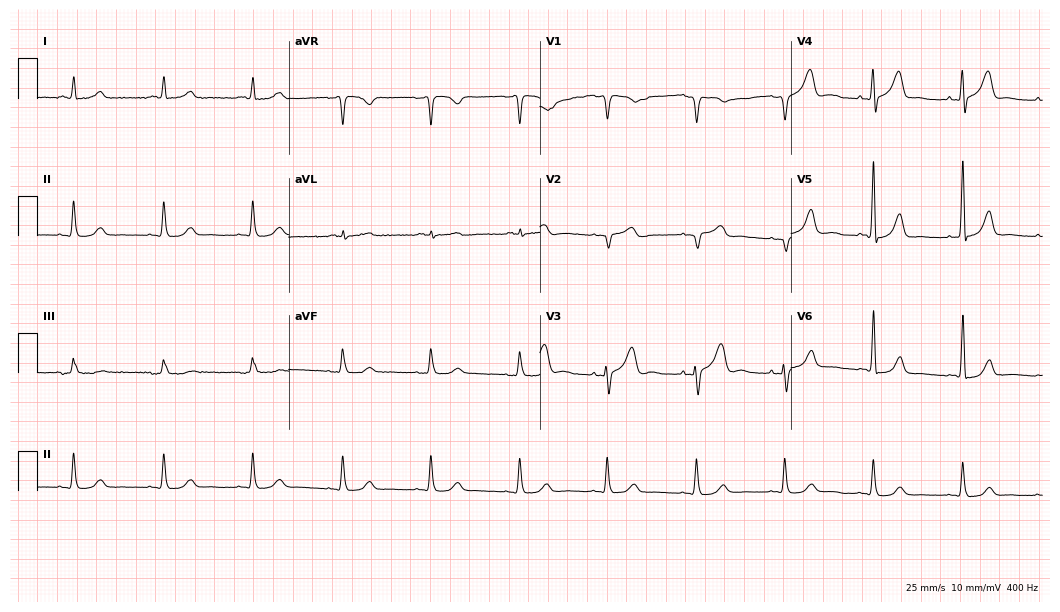
ECG (10.2-second recording at 400 Hz) — a male patient, 80 years old. Screened for six findings — first-degree AV block, right bundle branch block, left bundle branch block, sinus bradycardia, atrial fibrillation, sinus tachycardia — none is recorded.